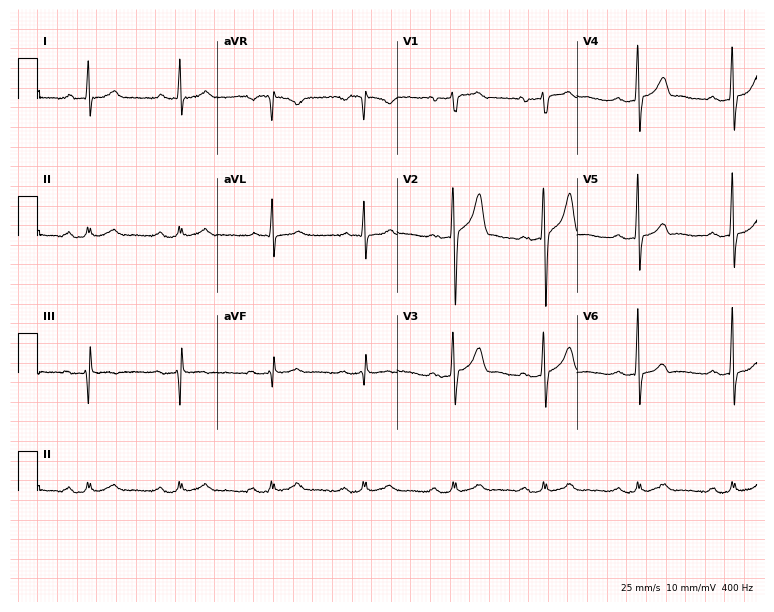
Standard 12-lead ECG recorded from a 52-year-old man (7.3-second recording at 400 Hz). The tracing shows first-degree AV block.